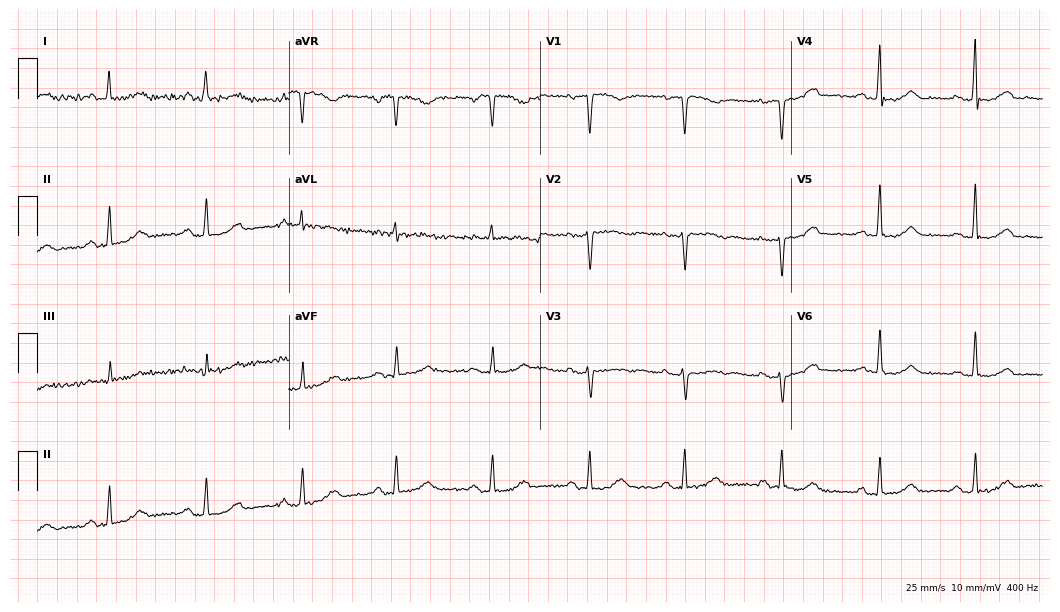
Resting 12-lead electrocardiogram. Patient: a 56-year-old woman. None of these six findings is recorded: first-degree AV block, right bundle branch block (RBBB), left bundle branch block (LBBB), sinus bradycardia, atrial fibrillation (AF), sinus tachycardia.